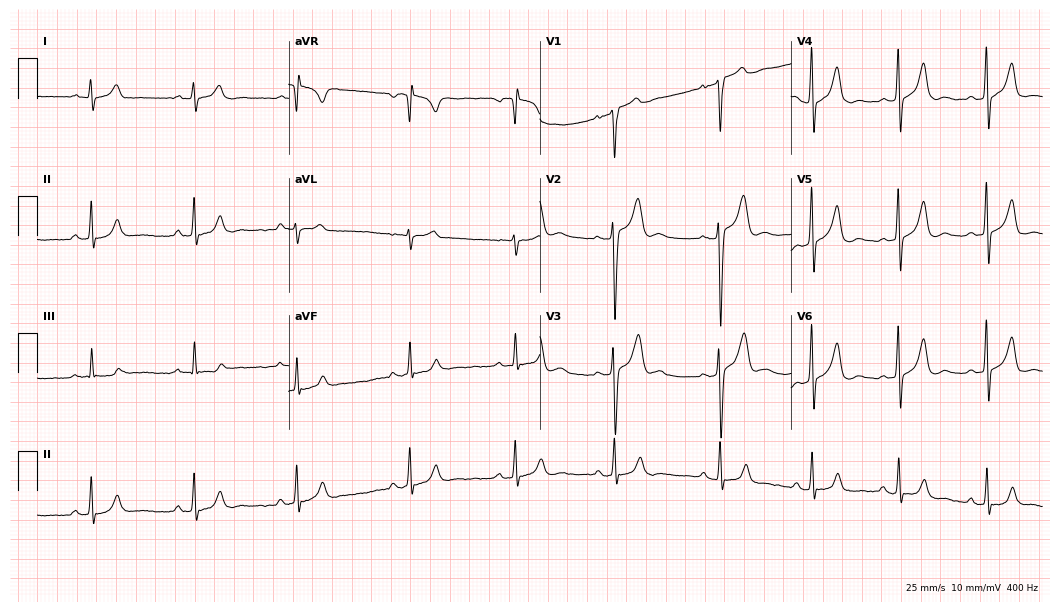
12-lead ECG from a 21-year-old male patient (10.2-second recording at 400 Hz). Recorded interpretation: within normal limits.